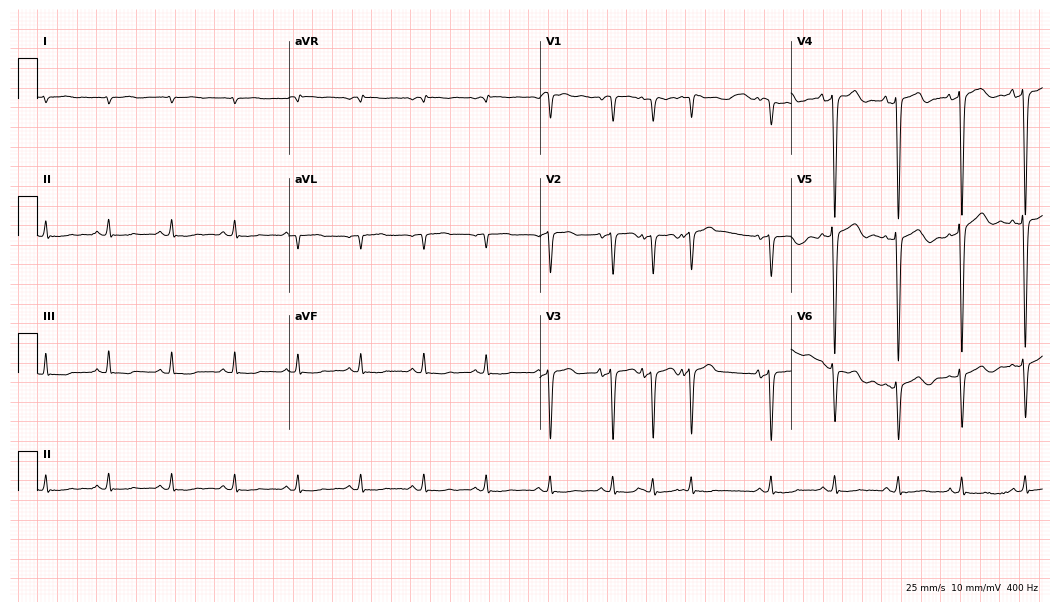
ECG — a 77-year-old female. Screened for six findings — first-degree AV block, right bundle branch block, left bundle branch block, sinus bradycardia, atrial fibrillation, sinus tachycardia — none is recorded. Only these six findings were labelled.